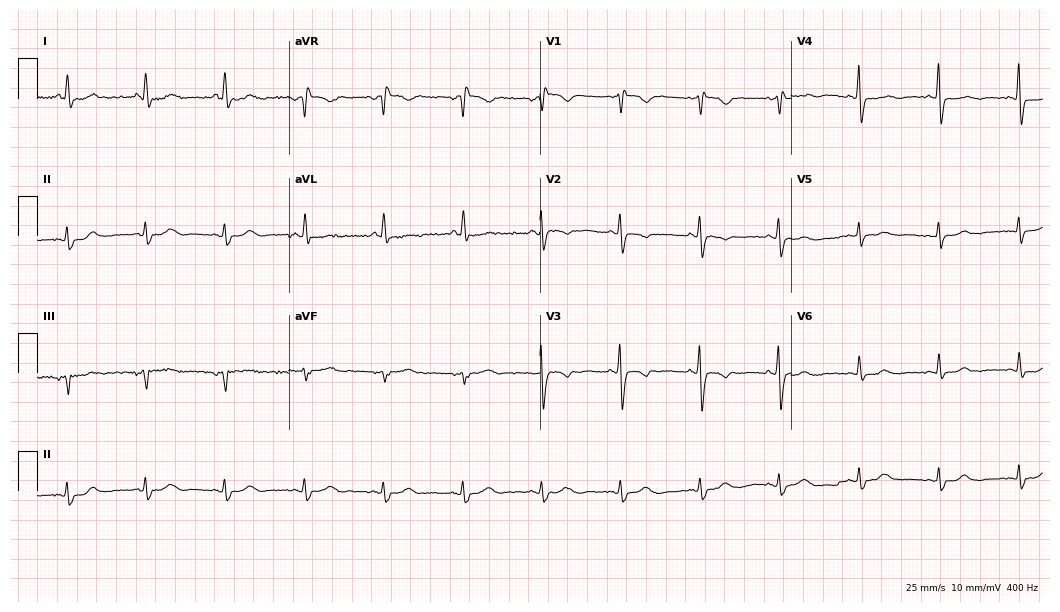
Standard 12-lead ECG recorded from a woman, 63 years old (10.2-second recording at 400 Hz). None of these six findings is recorded: first-degree AV block, right bundle branch block (RBBB), left bundle branch block (LBBB), sinus bradycardia, atrial fibrillation (AF), sinus tachycardia.